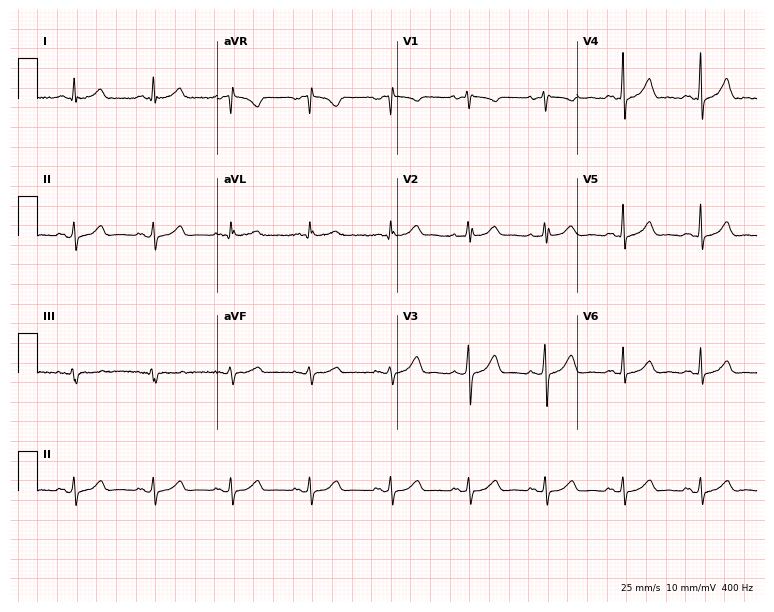
Resting 12-lead electrocardiogram. Patient: a 39-year-old female. None of these six findings is recorded: first-degree AV block, right bundle branch block (RBBB), left bundle branch block (LBBB), sinus bradycardia, atrial fibrillation (AF), sinus tachycardia.